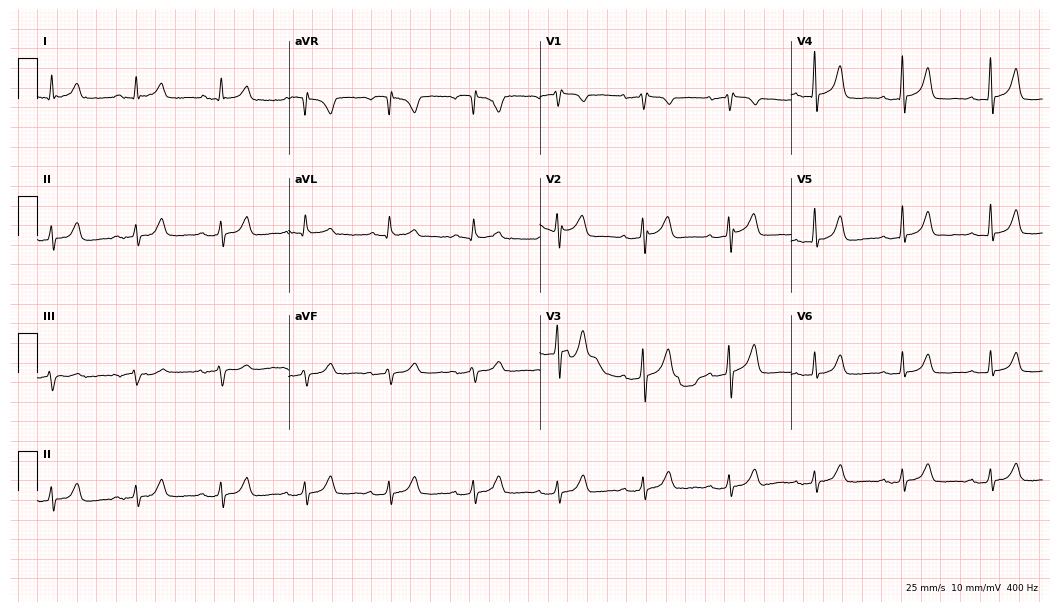
12-lead ECG from a male, 59 years old (10.2-second recording at 400 Hz). Recorded interpretation: within normal limits.